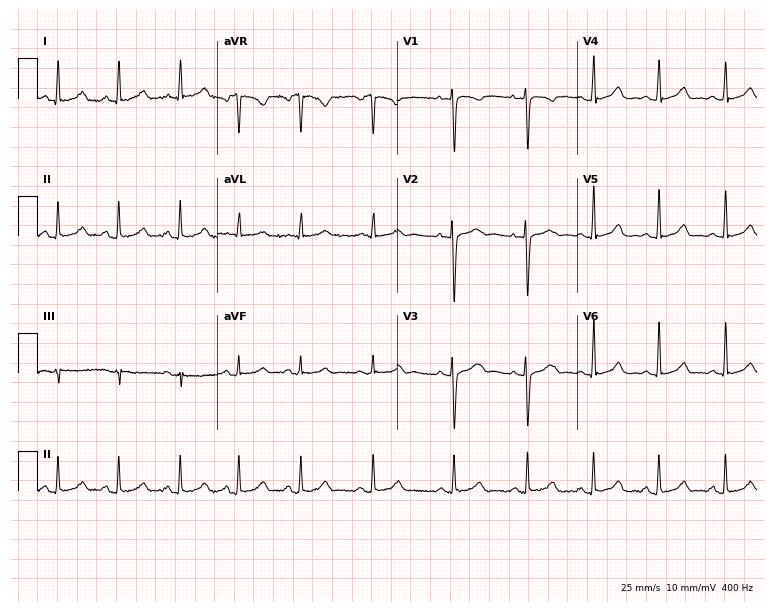
ECG — a female patient, 31 years old. Labelled as a normal ECG.